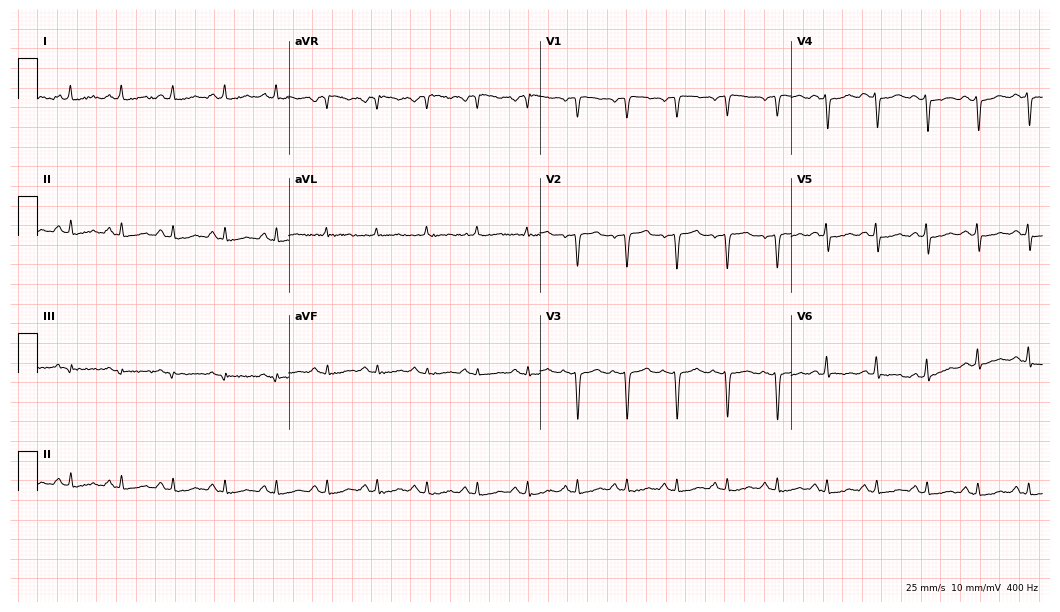
Electrocardiogram (10.2-second recording at 400 Hz), a woman, 42 years old. Interpretation includes sinus tachycardia (a sinus rate of 100 beats per minute or more).